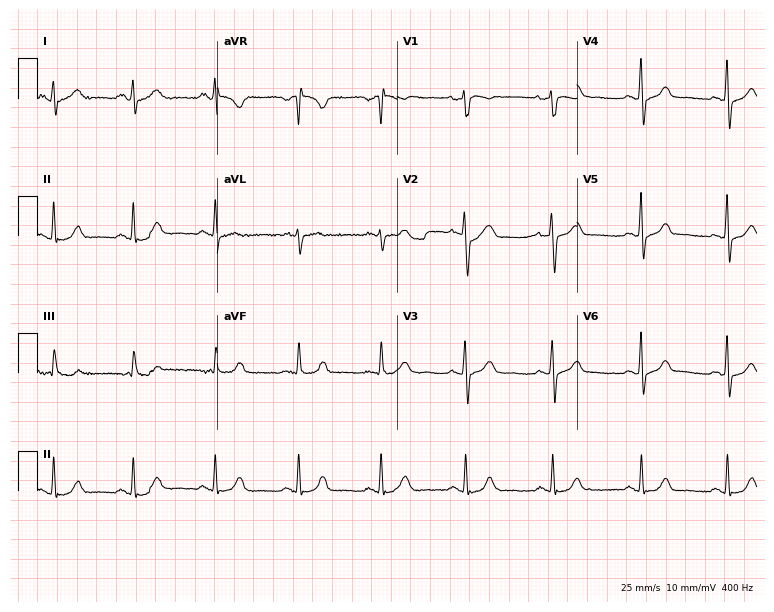
Electrocardiogram (7.3-second recording at 400 Hz), a female patient, 54 years old. Overall reading on record: normal ECG.